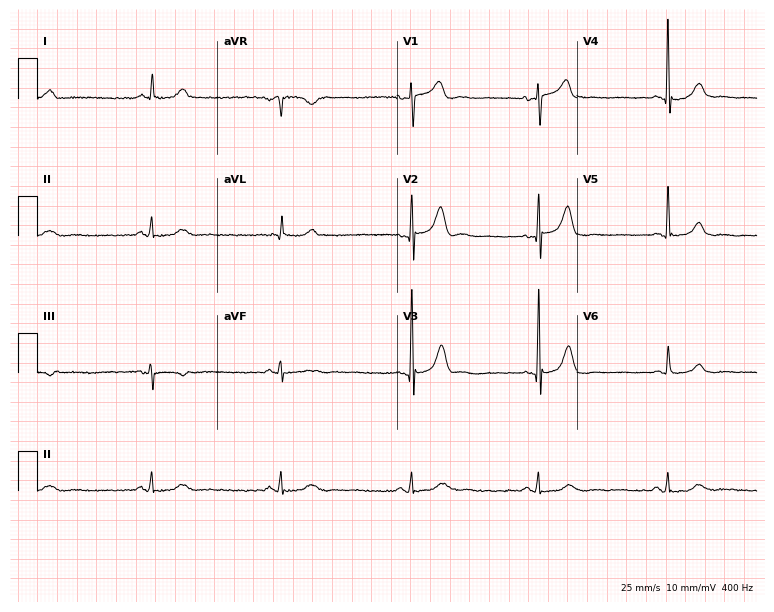
12-lead ECG from a male, 70 years old (7.3-second recording at 400 Hz). Shows sinus bradycardia (a sinus rate of 50 beats per minute or less).